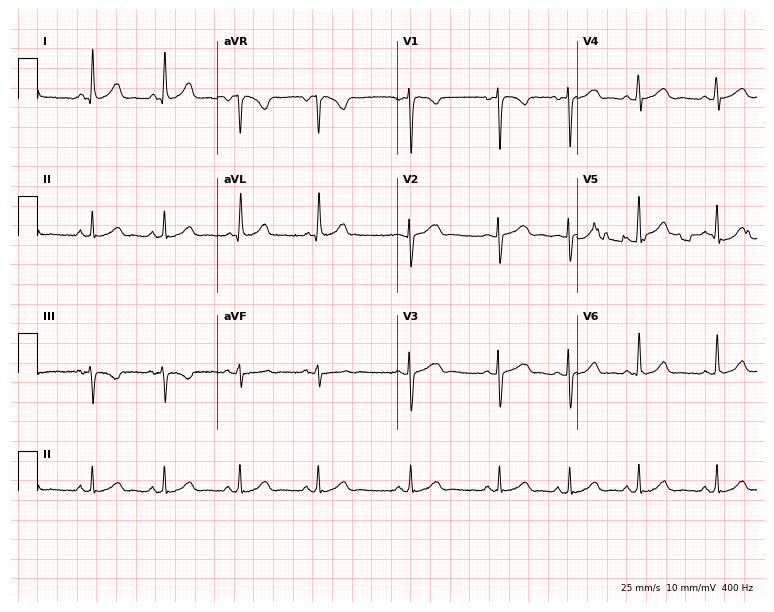
Electrocardiogram (7.3-second recording at 400 Hz), a female patient, 25 years old. Overall reading on record: normal ECG.